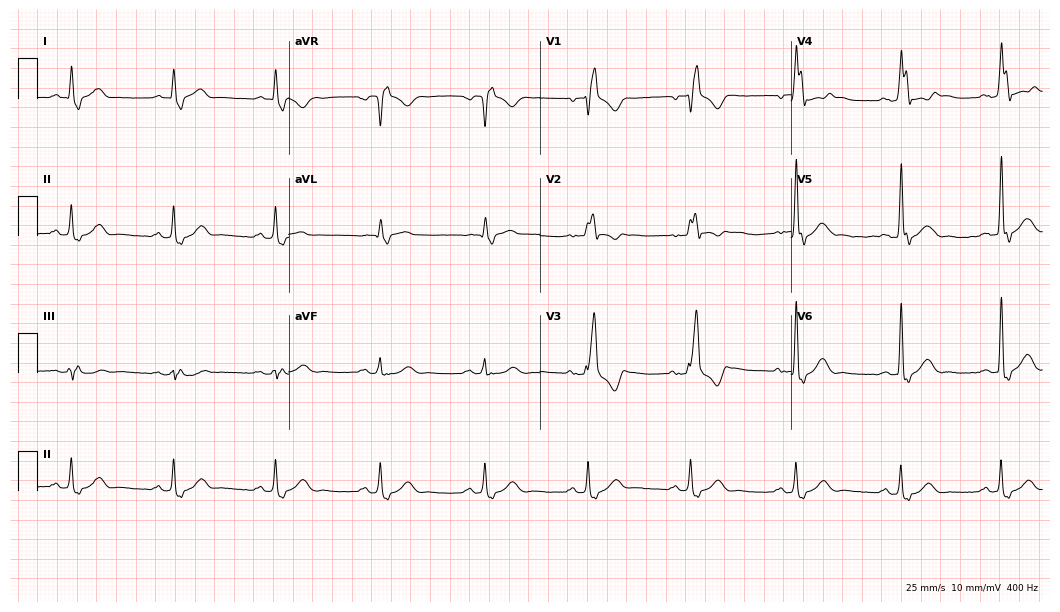
ECG — a man, 62 years old. Findings include right bundle branch block.